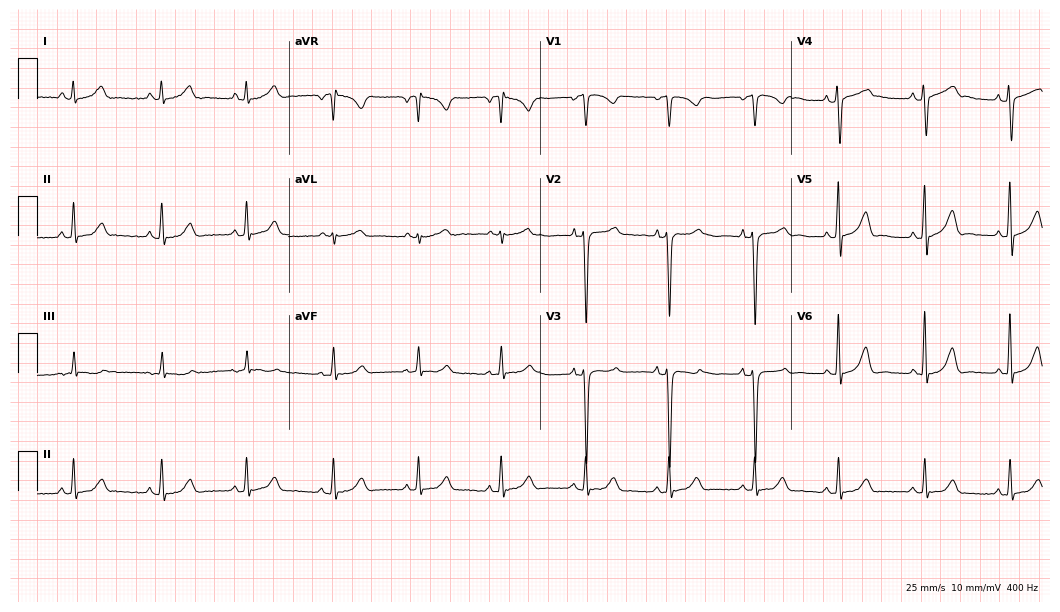
ECG (10.2-second recording at 400 Hz) — a man, 46 years old. Screened for six findings — first-degree AV block, right bundle branch block, left bundle branch block, sinus bradycardia, atrial fibrillation, sinus tachycardia — none is recorded. Only these six findings were labelled.